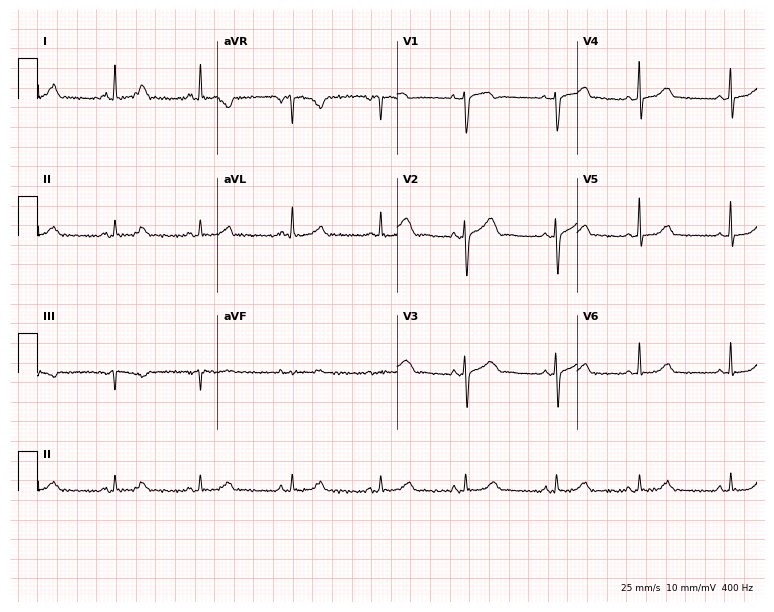
Resting 12-lead electrocardiogram. Patient: a 29-year-old female. None of these six findings is recorded: first-degree AV block, right bundle branch block, left bundle branch block, sinus bradycardia, atrial fibrillation, sinus tachycardia. Other findings, if any, are not listed.